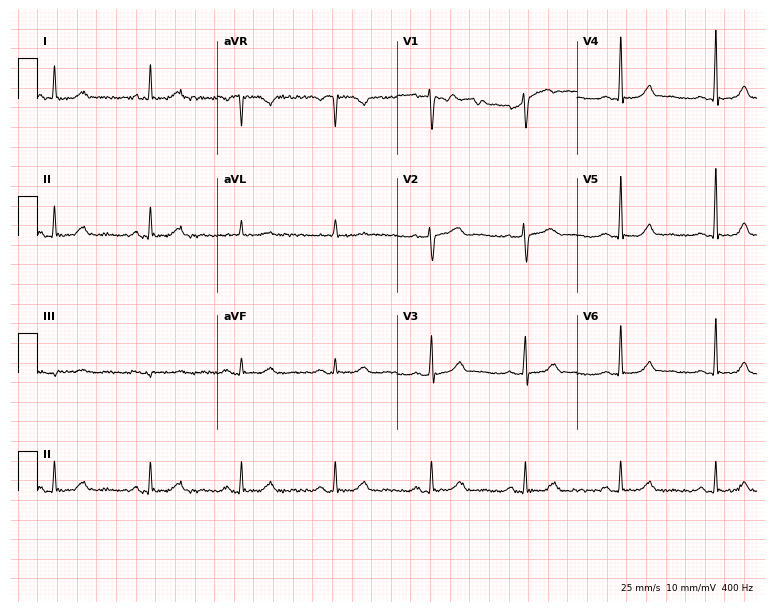
Standard 12-lead ECG recorded from a female patient, 57 years old (7.3-second recording at 400 Hz). Read as a normal ECG.